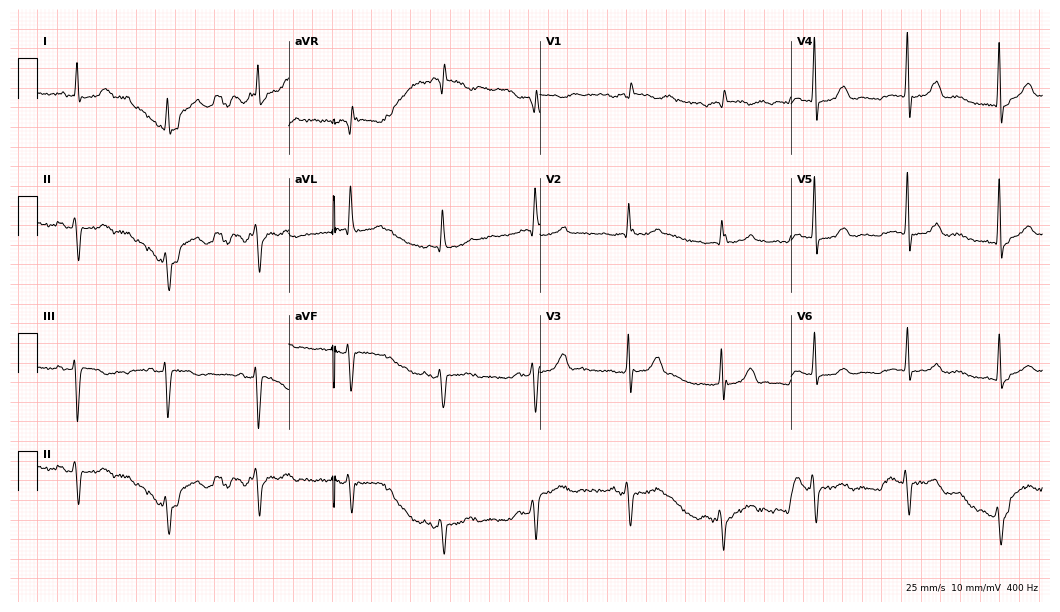
Standard 12-lead ECG recorded from a man, 79 years old (10.2-second recording at 400 Hz). None of these six findings is recorded: first-degree AV block, right bundle branch block (RBBB), left bundle branch block (LBBB), sinus bradycardia, atrial fibrillation (AF), sinus tachycardia.